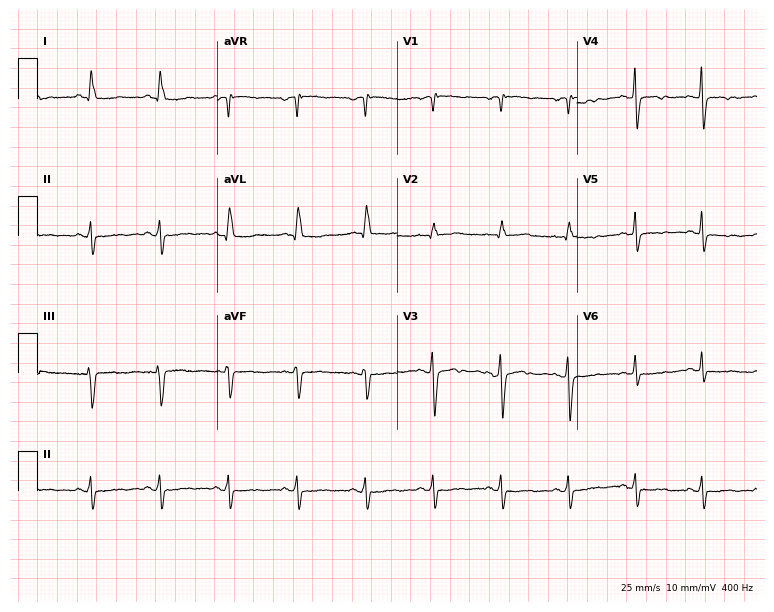
ECG (7.3-second recording at 400 Hz) — a female patient, 73 years old. Screened for six findings — first-degree AV block, right bundle branch block (RBBB), left bundle branch block (LBBB), sinus bradycardia, atrial fibrillation (AF), sinus tachycardia — none is recorded. Findings outside these six are not listed.